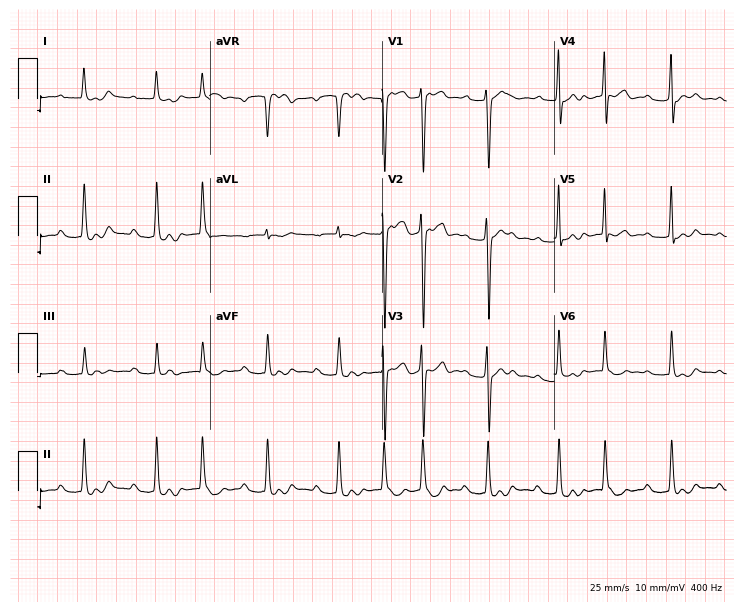
Resting 12-lead electrocardiogram. Patient: a woman, 24 years old. None of these six findings is recorded: first-degree AV block, right bundle branch block, left bundle branch block, sinus bradycardia, atrial fibrillation, sinus tachycardia.